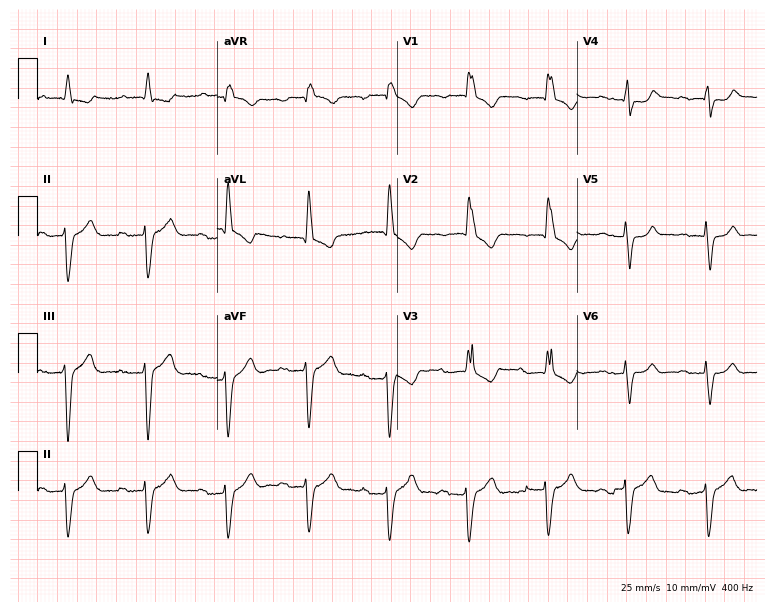
Resting 12-lead electrocardiogram (7.3-second recording at 400 Hz). Patient: a female, 85 years old. The tracing shows first-degree AV block, right bundle branch block.